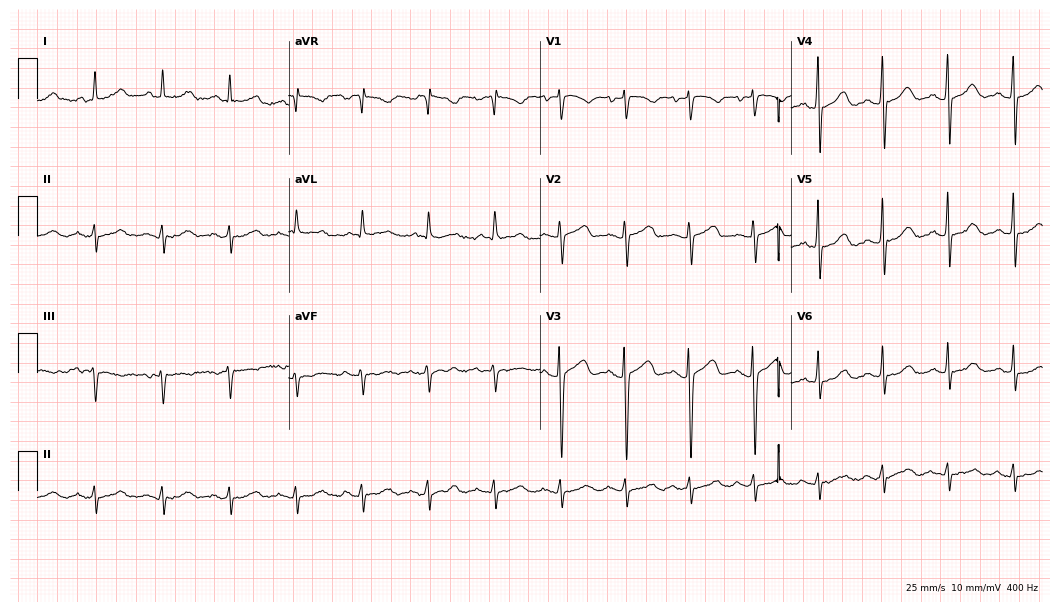
12-lead ECG from a 73-year-old male. No first-degree AV block, right bundle branch block (RBBB), left bundle branch block (LBBB), sinus bradycardia, atrial fibrillation (AF) or sinus tachycardia recorded for this tracing.